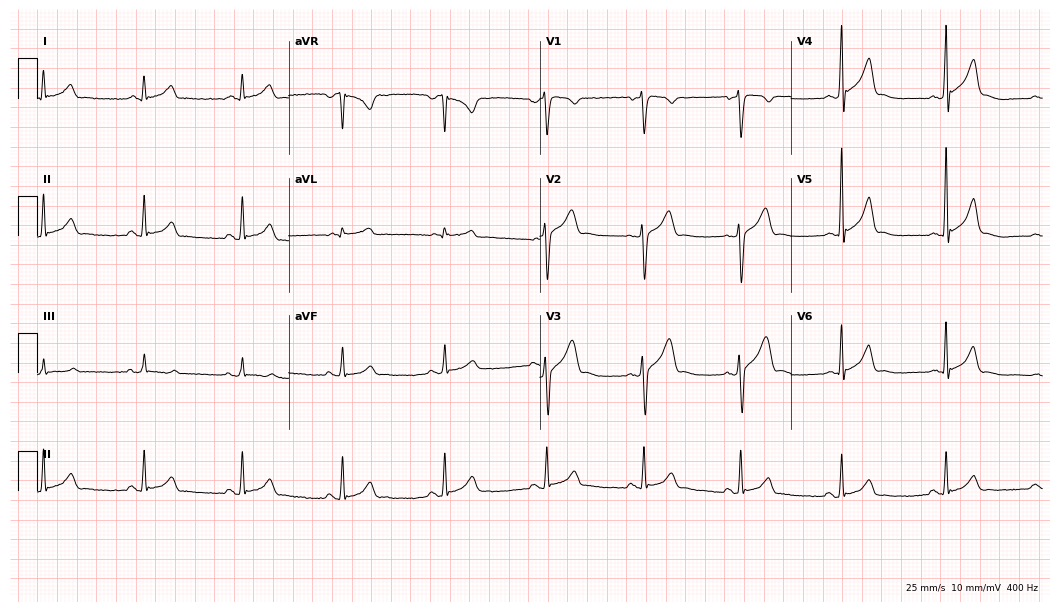
Electrocardiogram, a male, 76 years old. Overall reading on record: normal ECG.